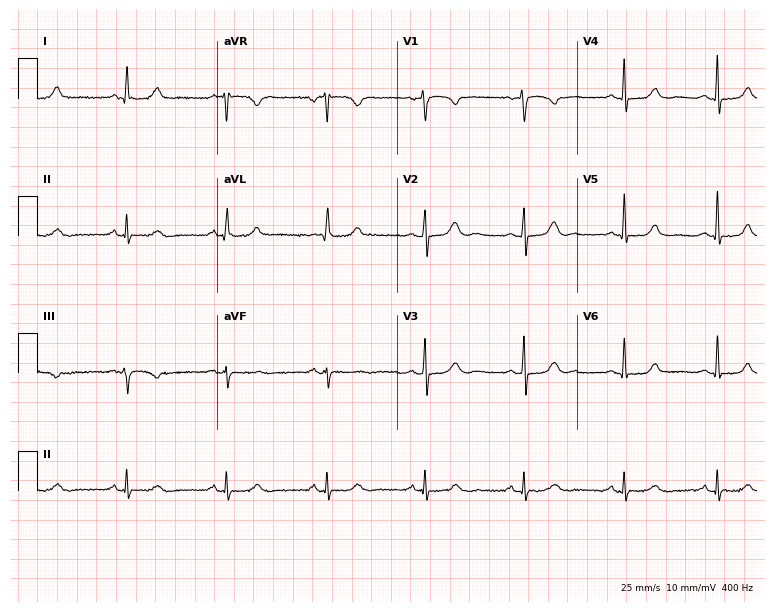
Resting 12-lead electrocardiogram. Patient: a female, 49 years old. None of these six findings is recorded: first-degree AV block, right bundle branch block, left bundle branch block, sinus bradycardia, atrial fibrillation, sinus tachycardia.